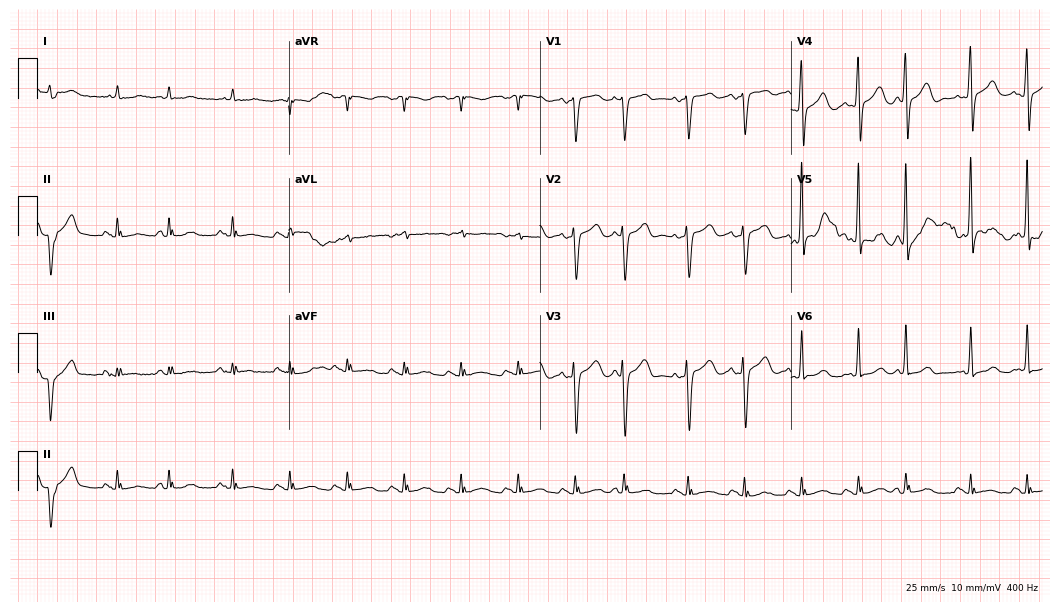
Electrocardiogram, a 72-year-old male. Interpretation includes sinus tachycardia (a sinus rate of 100 beats per minute or more).